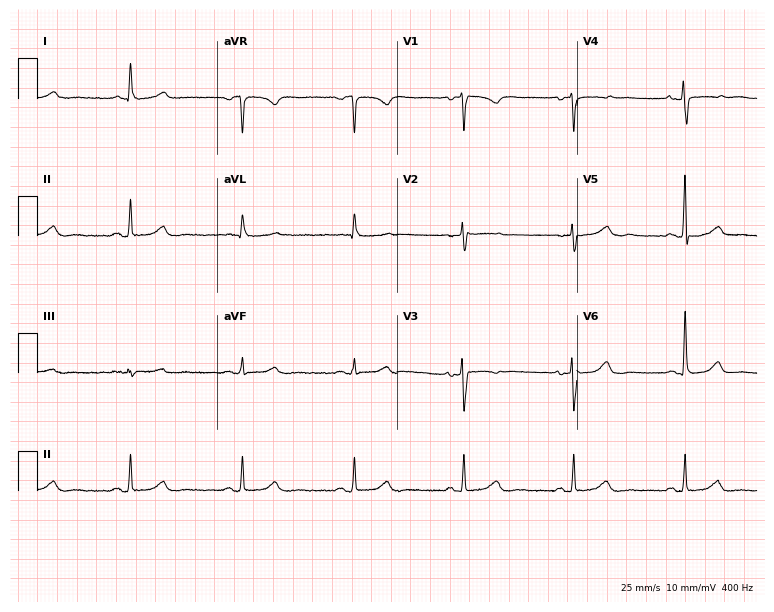
ECG (7.3-second recording at 400 Hz) — a female, 62 years old. Screened for six findings — first-degree AV block, right bundle branch block, left bundle branch block, sinus bradycardia, atrial fibrillation, sinus tachycardia — none is recorded. Other findings, if any, are not listed.